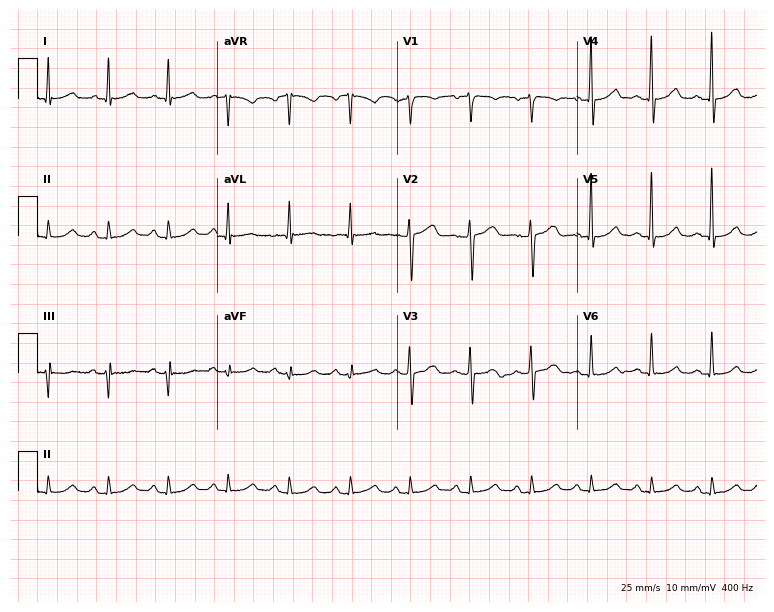
12-lead ECG from a 54-year-old female. Labelled as a normal ECG.